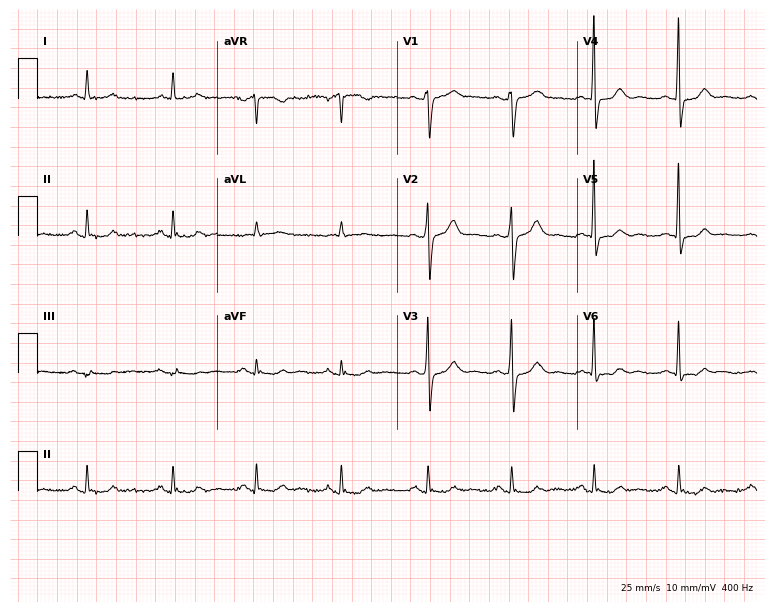
12-lead ECG (7.3-second recording at 400 Hz) from a 59-year-old male patient. Labelled as a normal ECG.